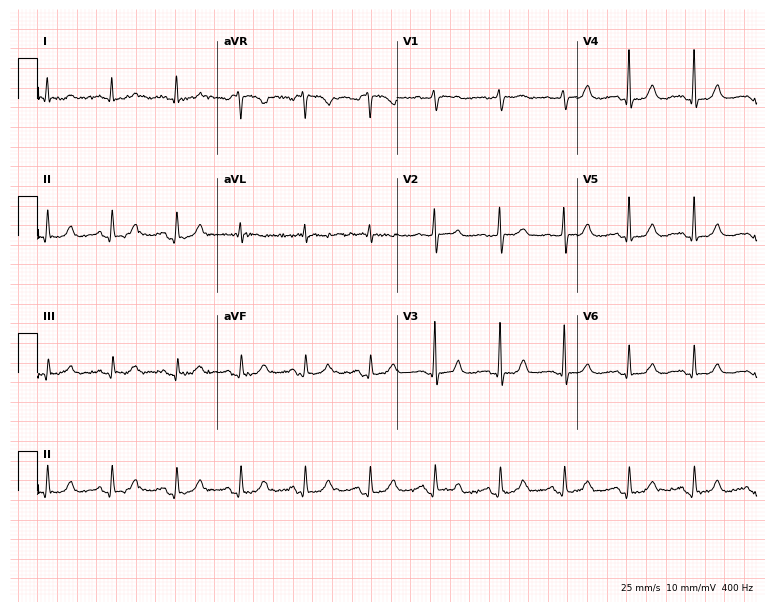
12-lead ECG from a 73-year-old woman. Recorded interpretation: within normal limits.